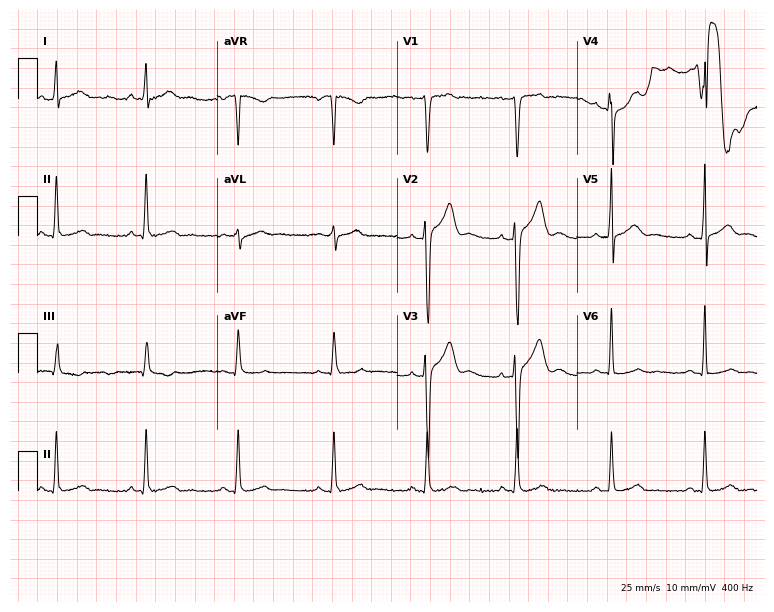
Electrocardiogram, a 34-year-old male. Overall reading on record: normal ECG.